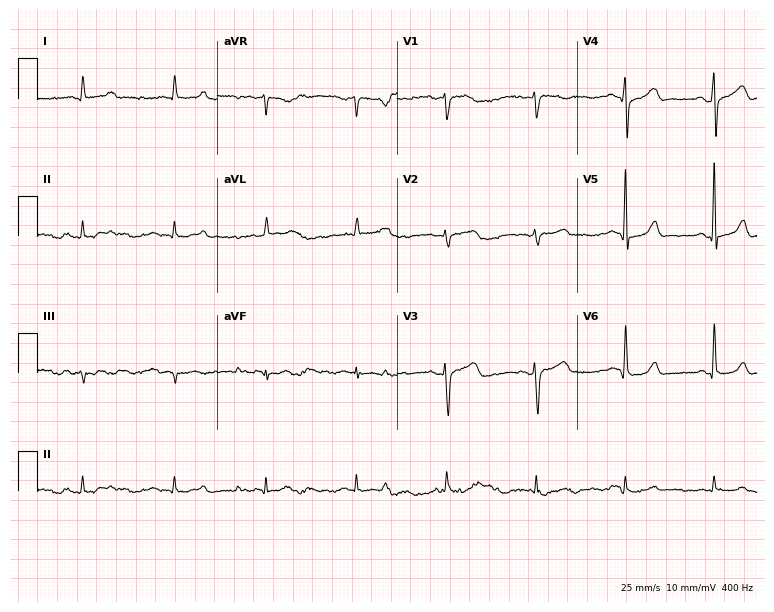
ECG — a female, 65 years old. Screened for six findings — first-degree AV block, right bundle branch block (RBBB), left bundle branch block (LBBB), sinus bradycardia, atrial fibrillation (AF), sinus tachycardia — none is recorded.